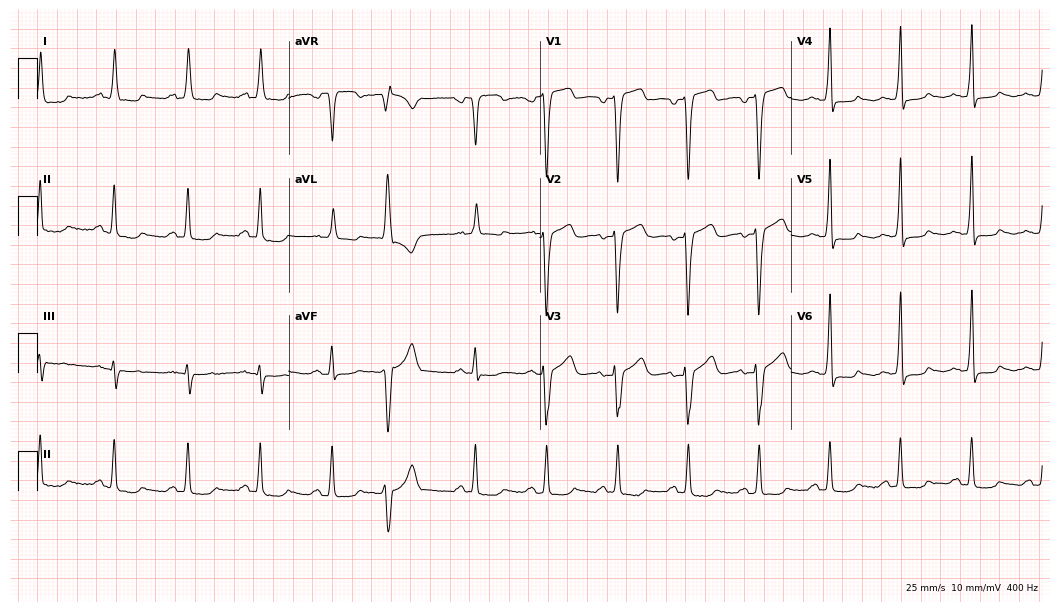
Electrocardiogram (10.2-second recording at 400 Hz), a female, 46 years old. Of the six screened findings (first-degree AV block, right bundle branch block, left bundle branch block, sinus bradycardia, atrial fibrillation, sinus tachycardia), none is recorded. Other findings, if any, are not listed.